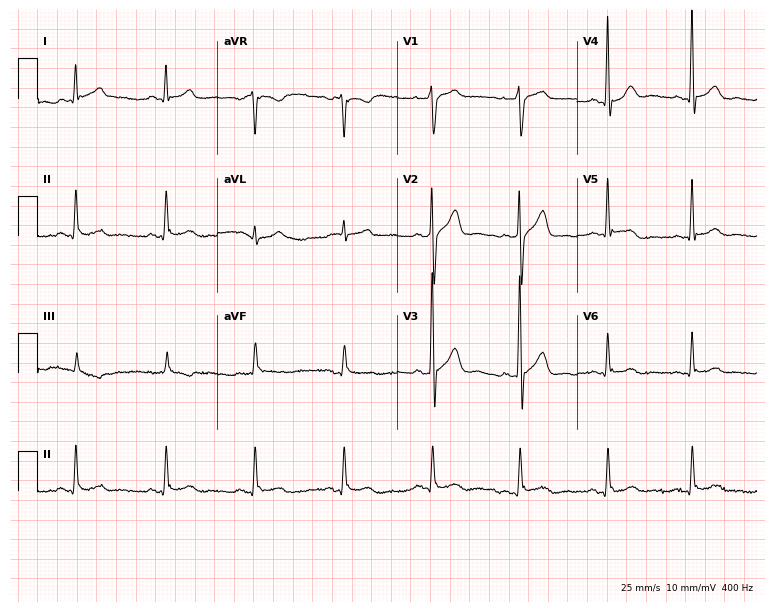
12-lead ECG from a 58-year-old male. Labelled as a normal ECG.